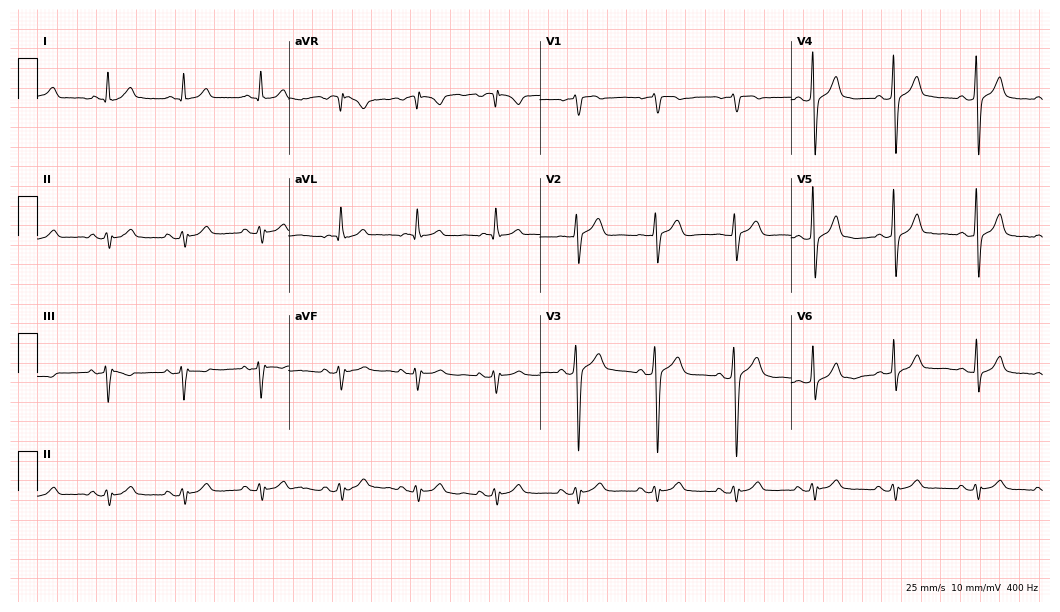
12-lead ECG from a male patient, 52 years old (10.2-second recording at 400 Hz). No first-degree AV block, right bundle branch block, left bundle branch block, sinus bradycardia, atrial fibrillation or sinus tachycardia recorded for this tracing. Other findings, if any, are not listed.